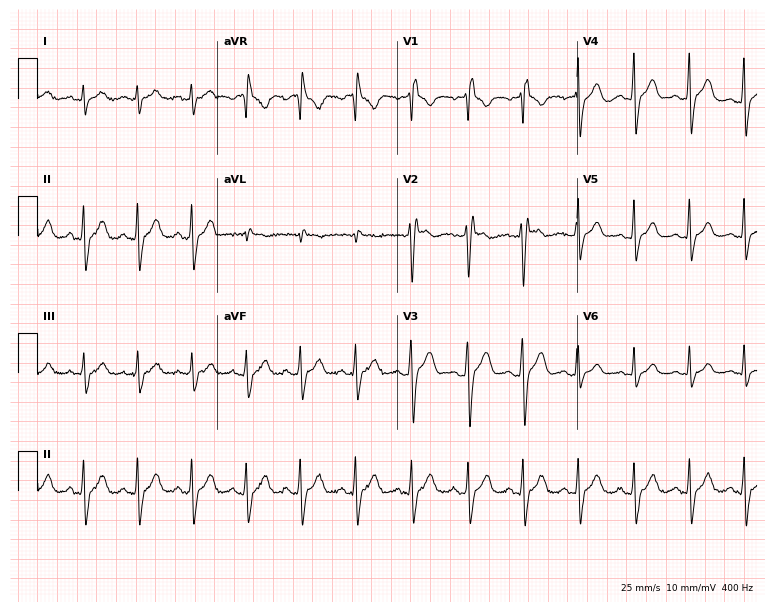
12-lead ECG (7.3-second recording at 400 Hz) from a male patient, 20 years old. Findings include sinus tachycardia (a sinus rate of 100 beats per minute or more).